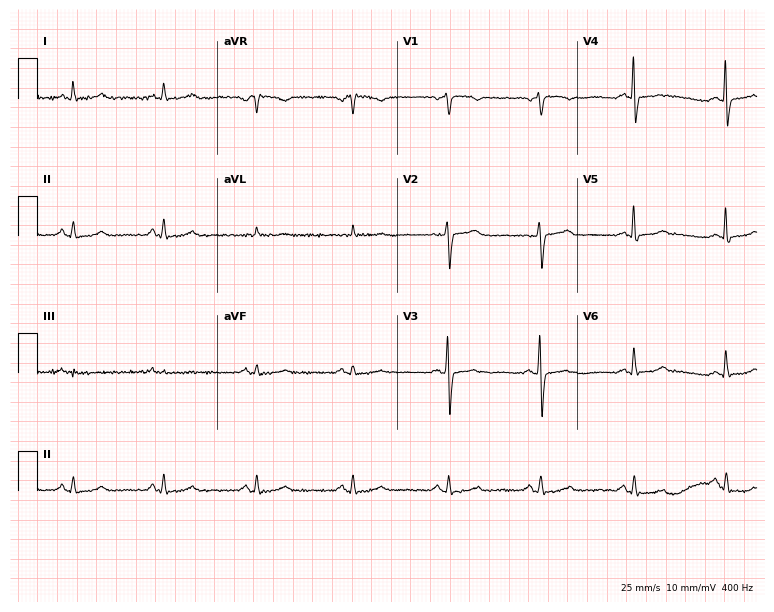
Electrocardiogram, a female, 47 years old. Of the six screened findings (first-degree AV block, right bundle branch block, left bundle branch block, sinus bradycardia, atrial fibrillation, sinus tachycardia), none is recorded. Findings outside these six are not listed.